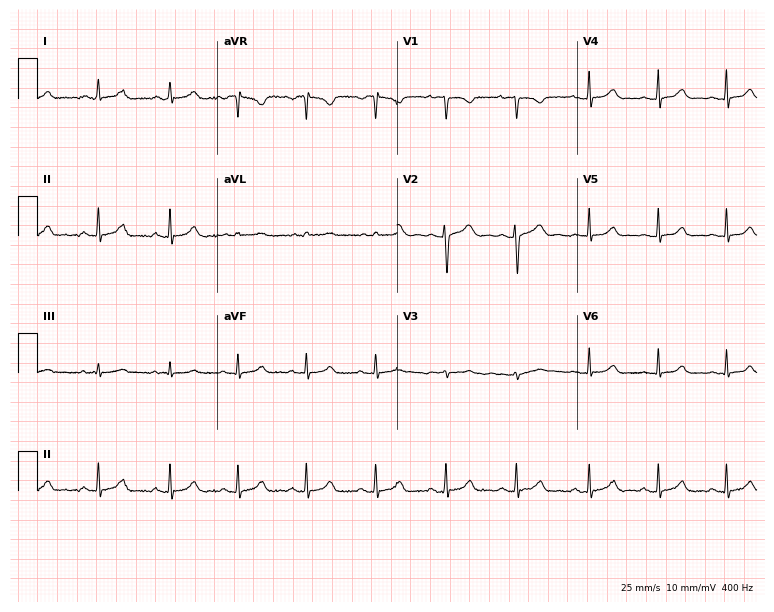
ECG (7.3-second recording at 400 Hz) — a woman, 26 years old. Labelled as a normal ECG.